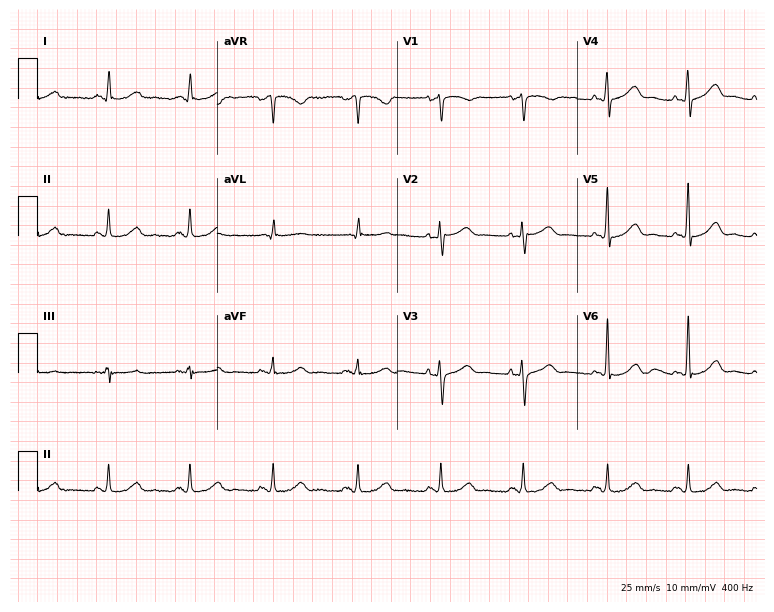
Electrocardiogram (7.3-second recording at 400 Hz), a woman, 62 years old. Overall reading on record: normal ECG.